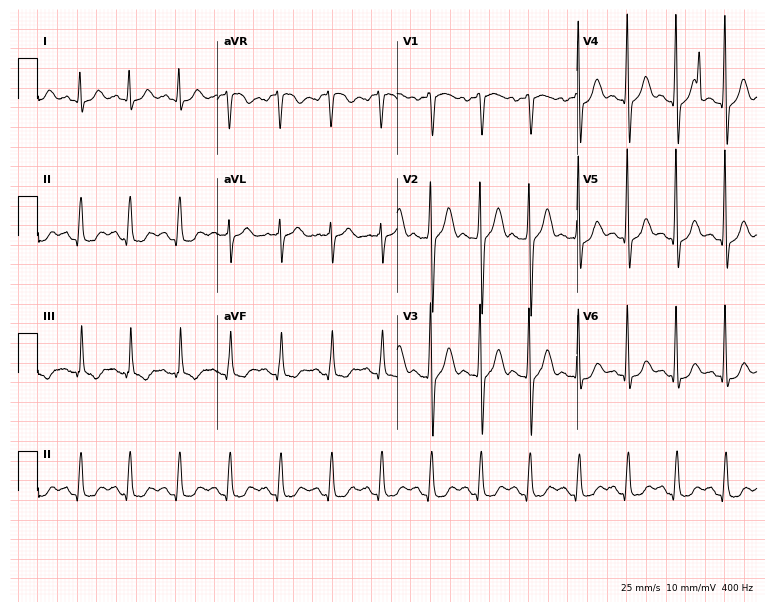
Resting 12-lead electrocardiogram. Patient: a male, 45 years old. The tracing shows sinus tachycardia (a sinus rate of 100 beats per minute or more).